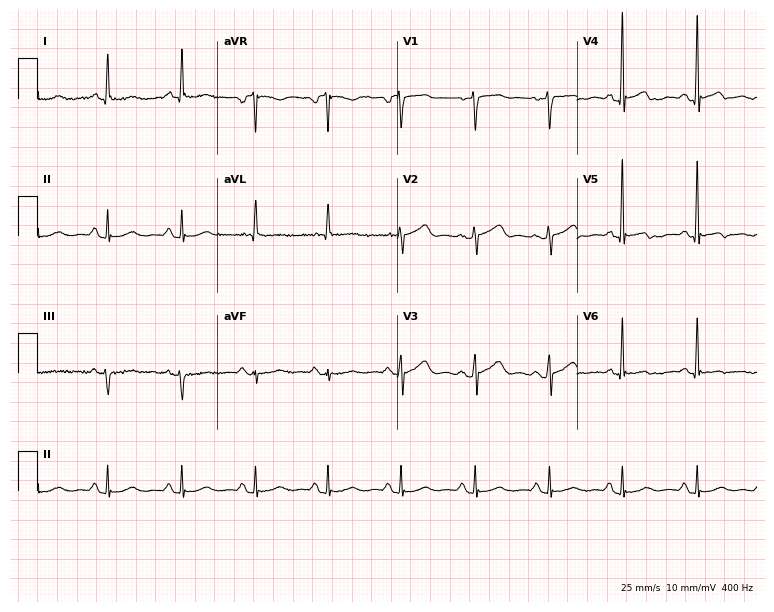
Resting 12-lead electrocardiogram (7.3-second recording at 400 Hz). Patient: a female, 74 years old. None of these six findings is recorded: first-degree AV block, right bundle branch block, left bundle branch block, sinus bradycardia, atrial fibrillation, sinus tachycardia.